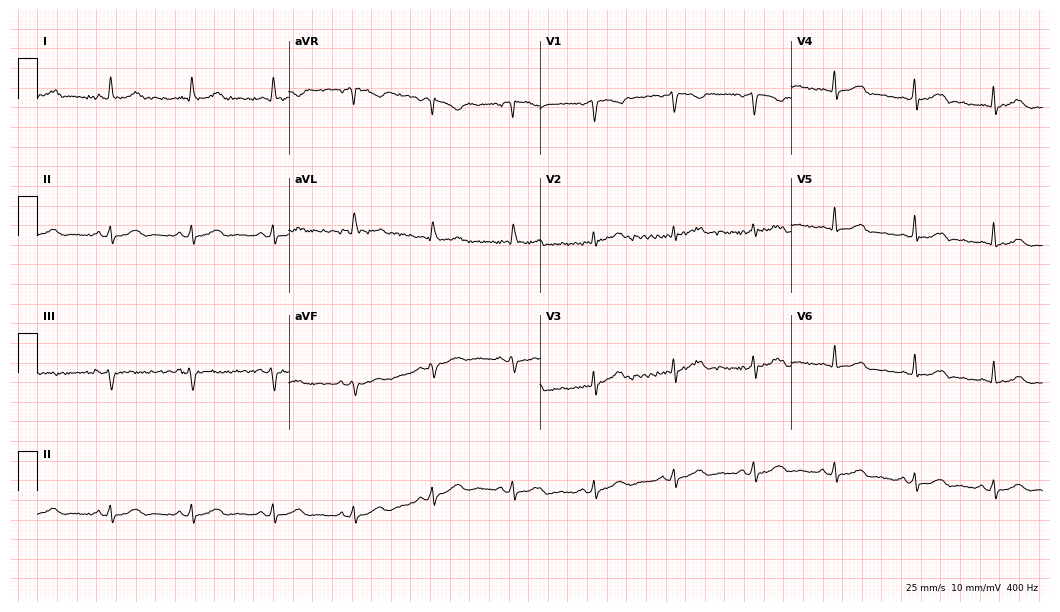
12-lead ECG from a 53-year-old female (10.2-second recording at 400 Hz). Recorded interpretation: within normal limits.